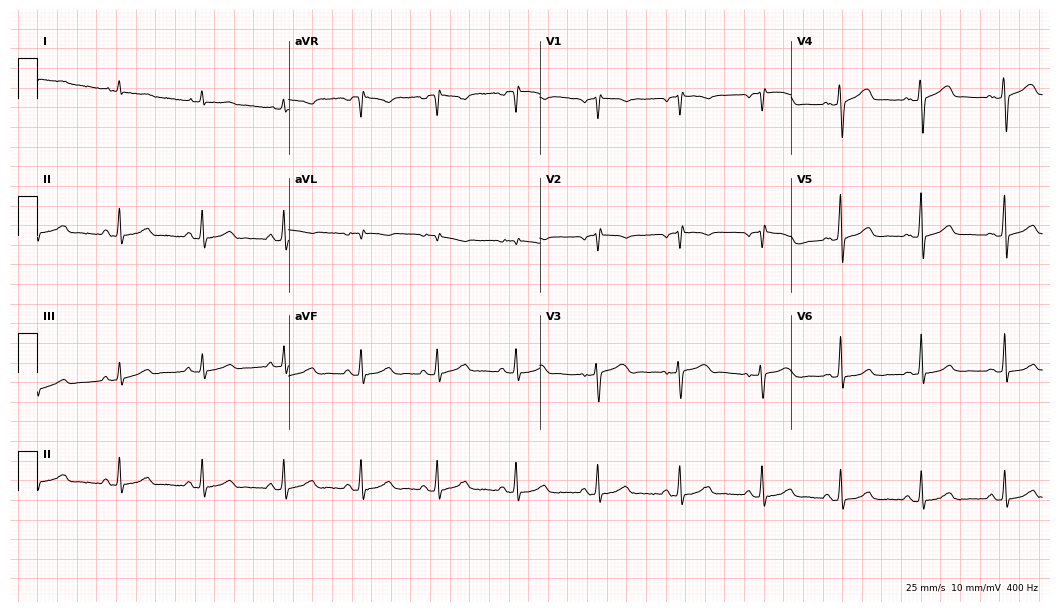
12-lead ECG from a female, 43 years old. Screened for six findings — first-degree AV block, right bundle branch block, left bundle branch block, sinus bradycardia, atrial fibrillation, sinus tachycardia — none is recorded.